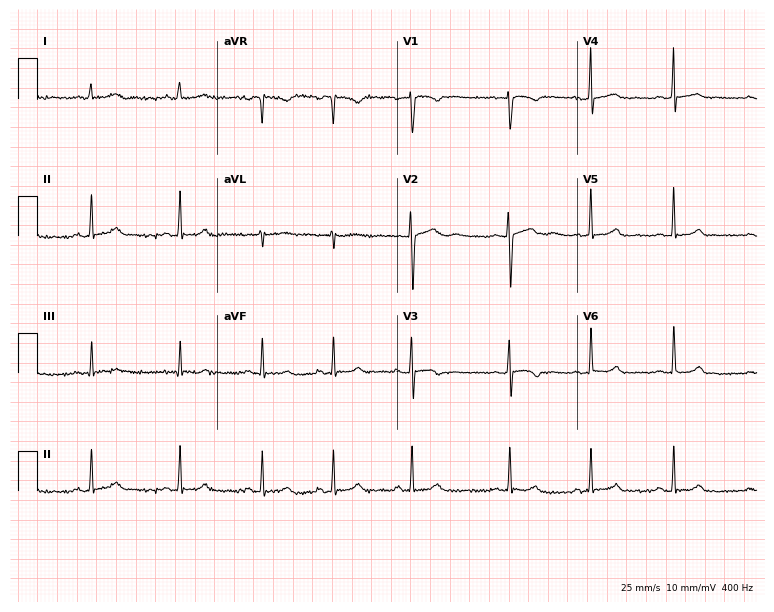
Resting 12-lead electrocardiogram. Patient: a 19-year-old female. Read as a normal ECG.